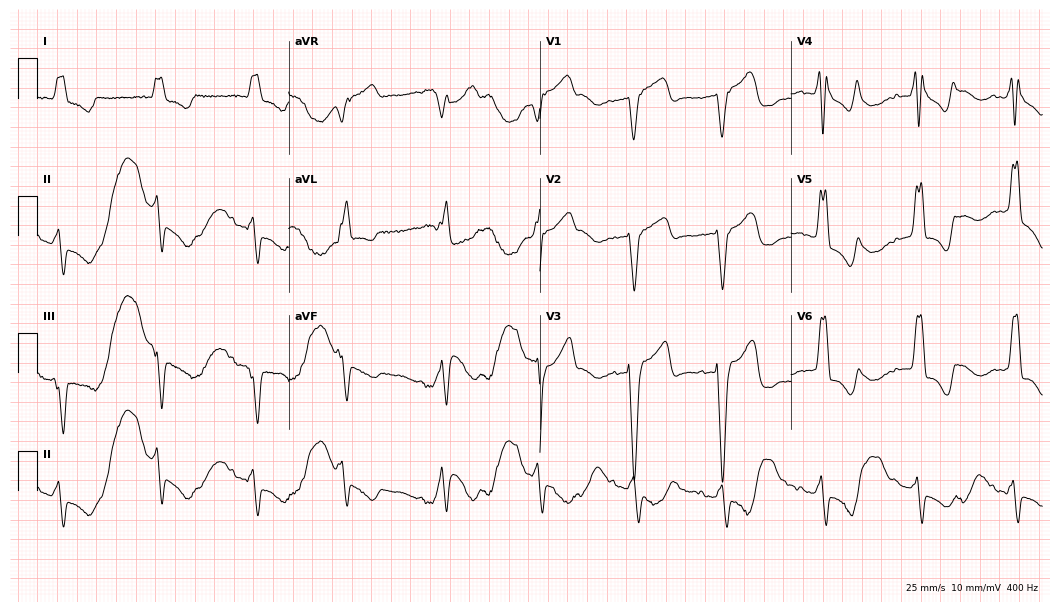
Standard 12-lead ECG recorded from an 84-year-old male patient. The tracing shows left bundle branch block.